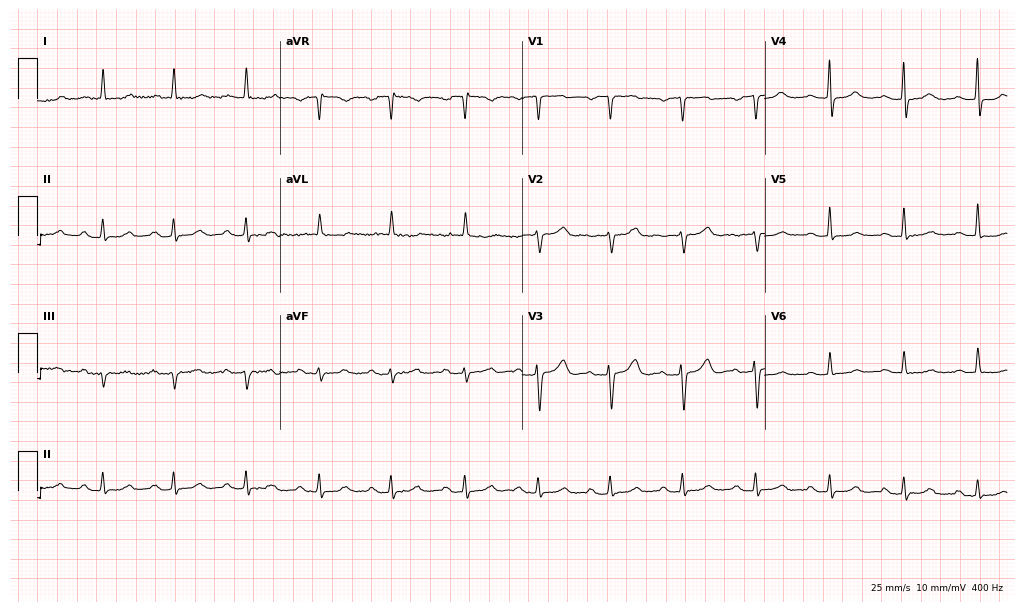
Electrocardiogram (9.9-second recording at 400 Hz), a female patient, 79 years old. Of the six screened findings (first-degree AV block, right bundle branch block, left bundle branch block, sinus bradycardia, atrial fibrillation, sinus tachycardia), none is recorded.